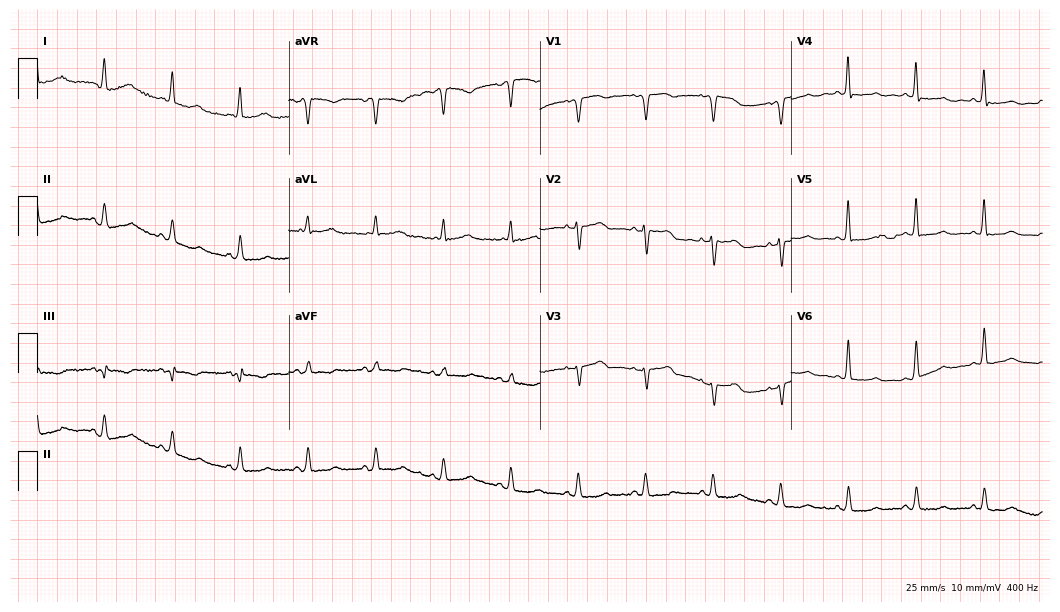
ECG (10.2-second recording at 400 Hz) — a 72-year-old woman. Screened for six findings — first-degree AV block, right bundle branch block, left bundle branch block, sinus bradycardia, atrial fibrillation, sinus tachycardia — none is recorded.